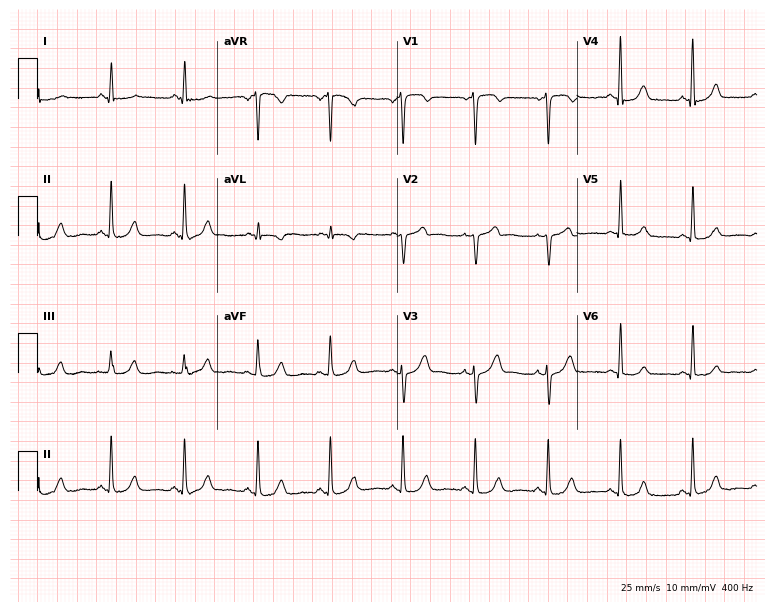
Electrocardiogram (7.3-second recording at 400 Hz), a female, 66 years old. Of the six screened findings (first-degree AV block, right bundle branch block (RBBB), left bundle branch block (LBBB), sinus bradycardia, atrial fibrillation (AF), sinus tachycardia), none is recorded.